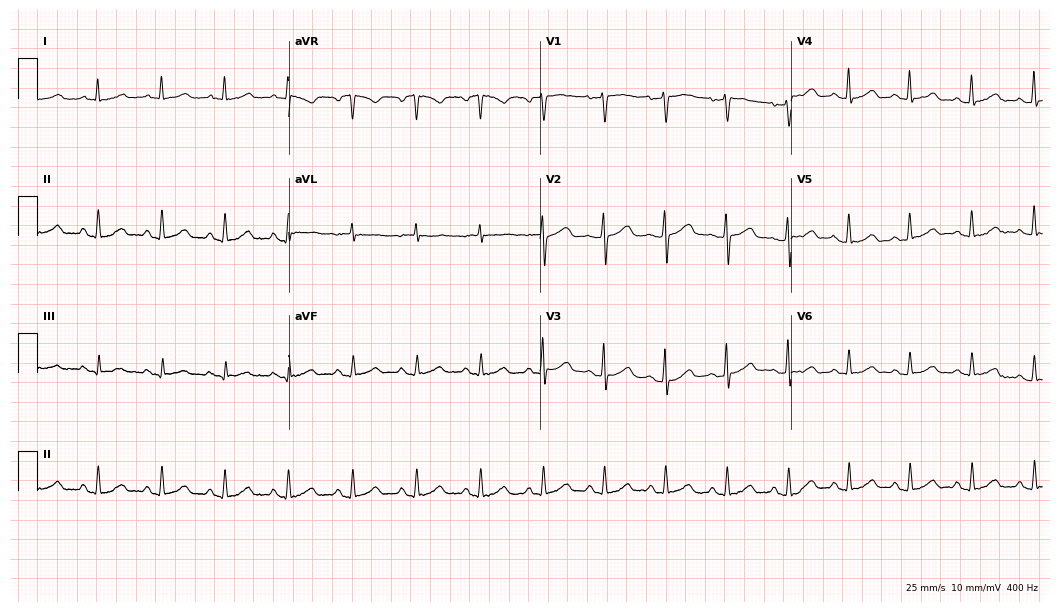
12-lead ECG from a 52-year-old female patient (10.2-second recording at 400 Hz). Recorded interpretation: within normal limits.